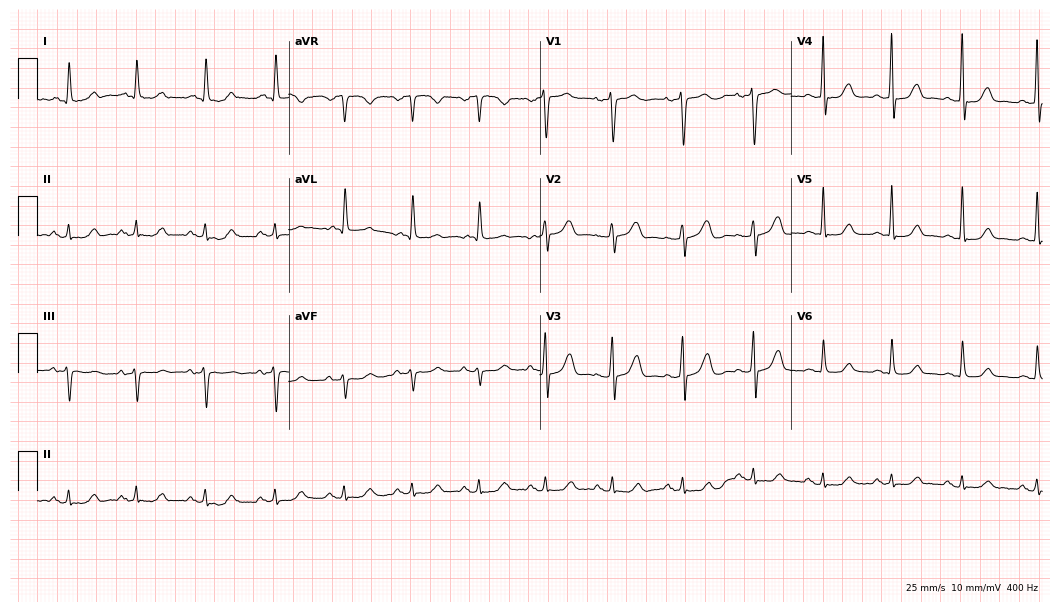
Standard 12-lead ECG recorded from a woman, 63 years old (10.2-second recording at 400 Hz). Read as a normal ECG.